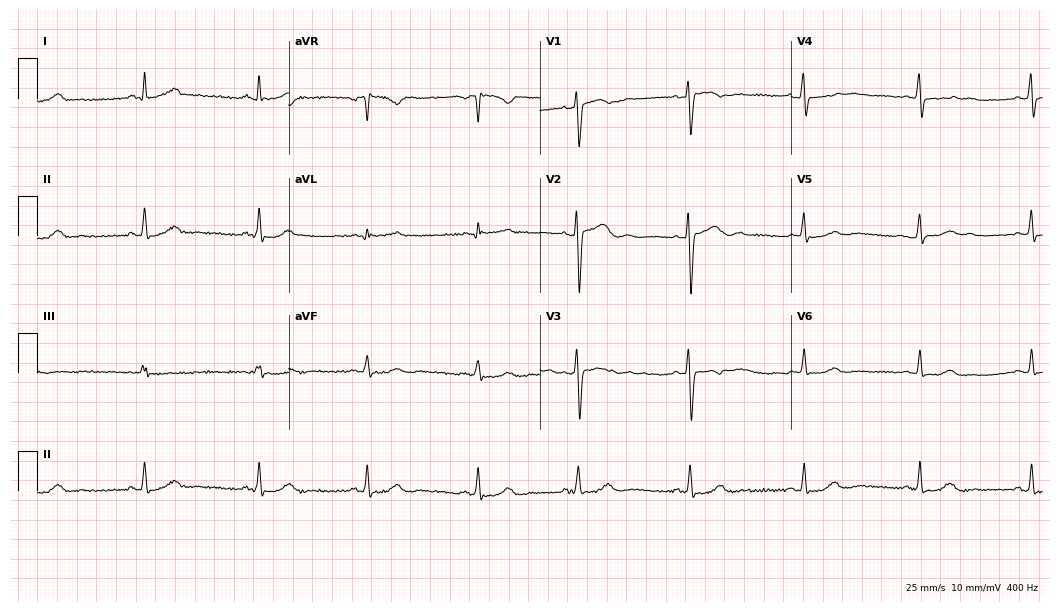
Resting 12-lead electrocardiogram (10.2-second recording at 400 Hz). Patient: a 40-year-old female. Read as a normal ECG.